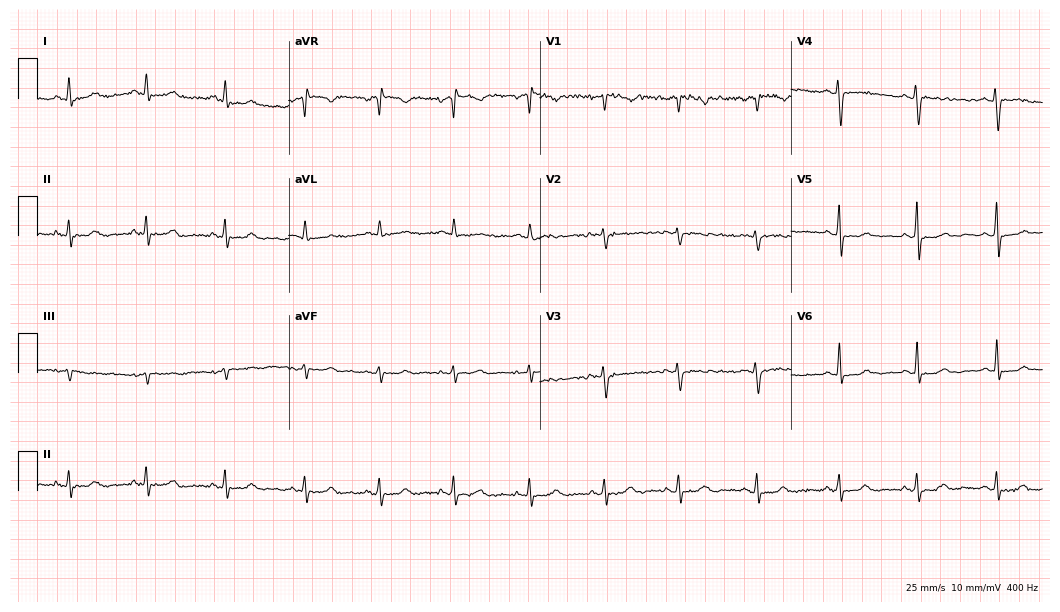
Electrocardiogram (10.2-second recording at 400 Hz), a 49-year-old woman. Of the six screened findings (first-degree AV block, right bundle branch block (RBBB), left bundle branch block (LBBB), sinus bradycardia, atrial fibrillation (AF), sinus tachycardia), none is recorded.